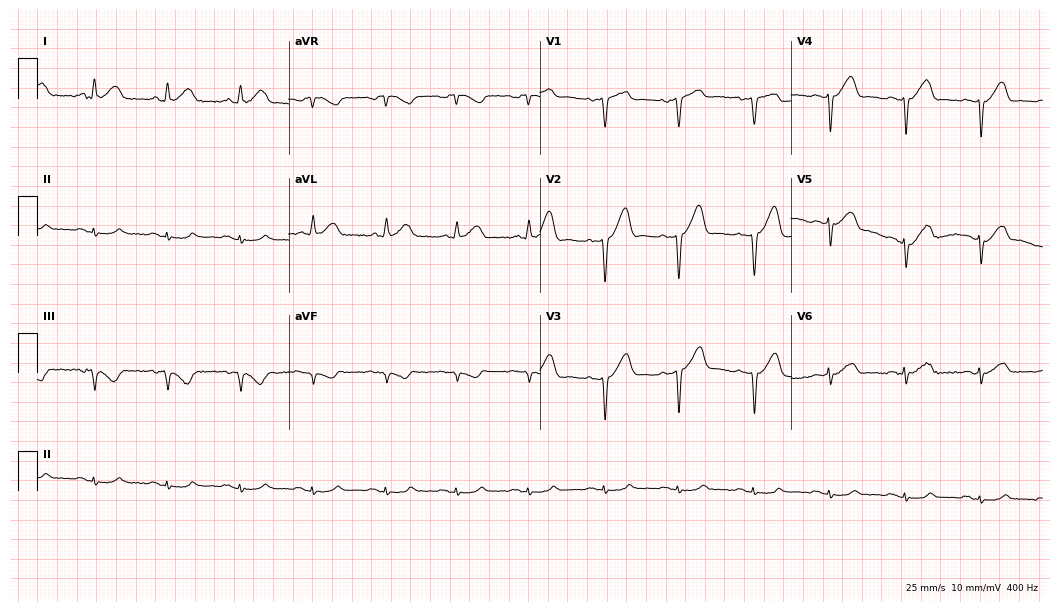
Electrocardiogram, a 60-year-old male patient. Of the six screened findings (first-degree AV block, right bundle branch block, left bundle branch block, sinus bradycardia, atrial fibrillation, sinus tachycardia), none is recorded. Only these six findings were labelled.